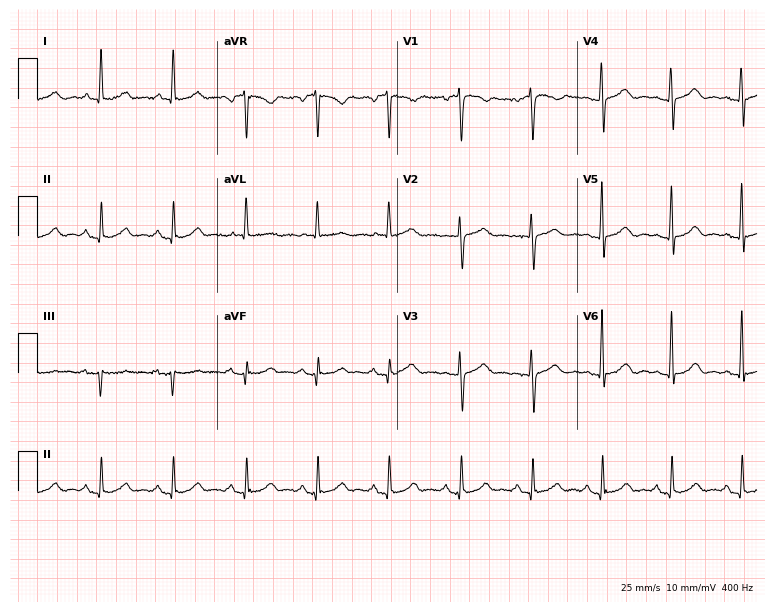
Resting 12-lead electrocardiogram (7.3-second recording at 400 Hz). Patient: a woman, 49 years old. None of these six findings is recorded: first-degree AV block, right bundle branch block, left bundle branch block, sinus bradycardia, atrial fibrillation, sinus tachycardia.